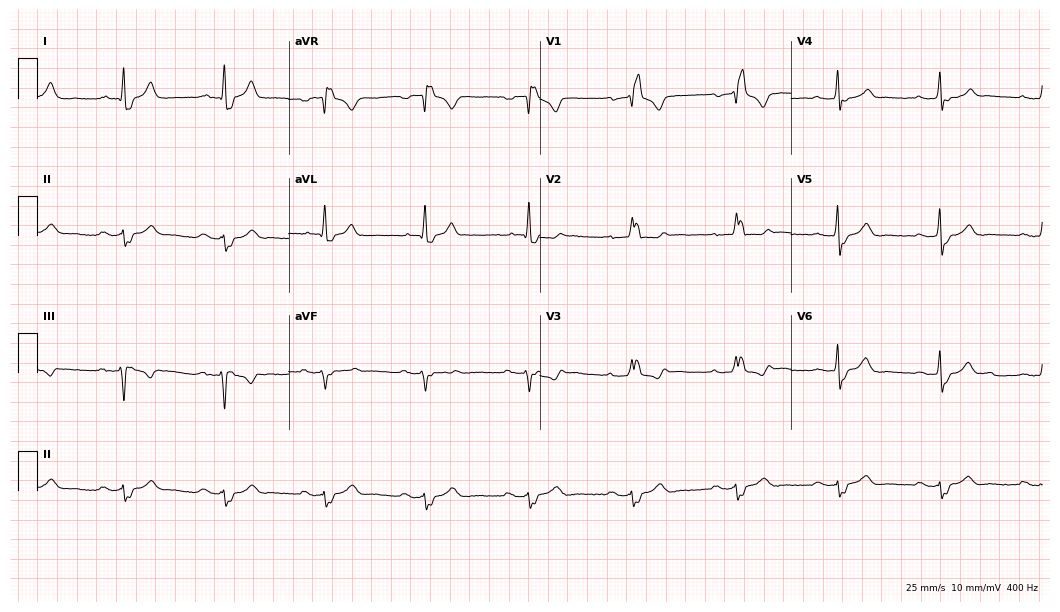
Resting 12-lead electrocardiogram (10.2-second recording at 400 Hz). Patient: a male, 61 years old. The tracing shows right bundle branch block (RBBB).